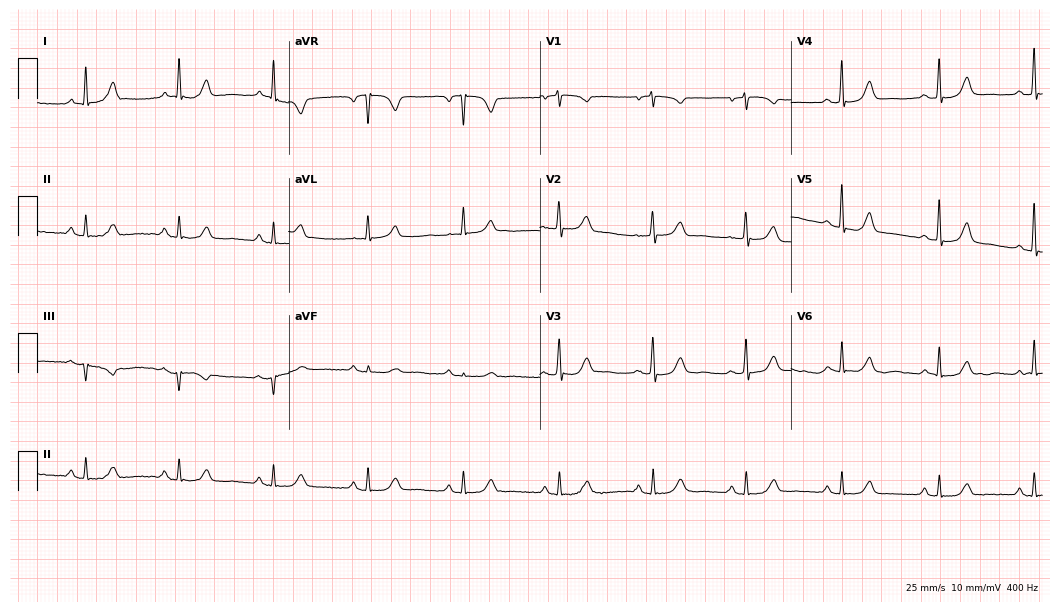
Resting 12-lead electrocardiogram (10.2-second recording at 400 Hz). Patient: a female, 75 years old. Read as a normal ECG.